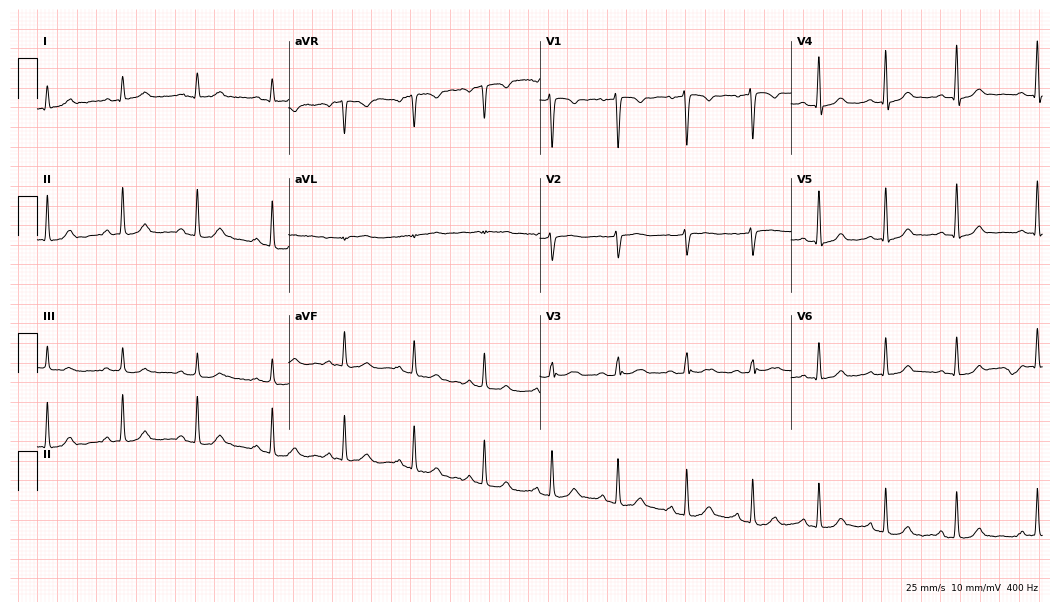
Resting 12-lead electrocardiogram (10.2-second recording at 400 Hz). Patient: a 45-year-old female. Read as a normal ECG.